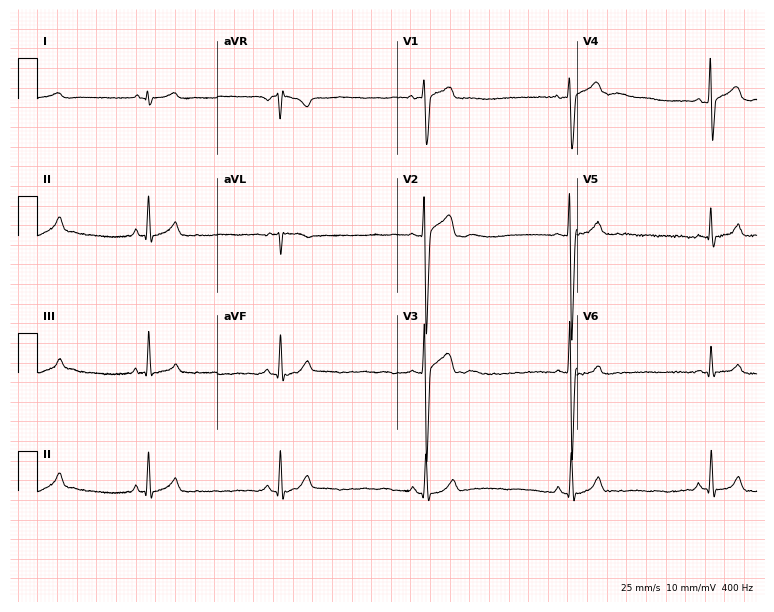
ECG (7.3-second recording at 400 Hz) — a 17-year-old male. Screened for six findings — first-degree AV block, right bundle branch block (RBBB), left bundle branch block (LBBB), sinus bradycardia, atrial fibrillation (AF), sinus tachycardia — none is recorded. Only these six findings were labelled.